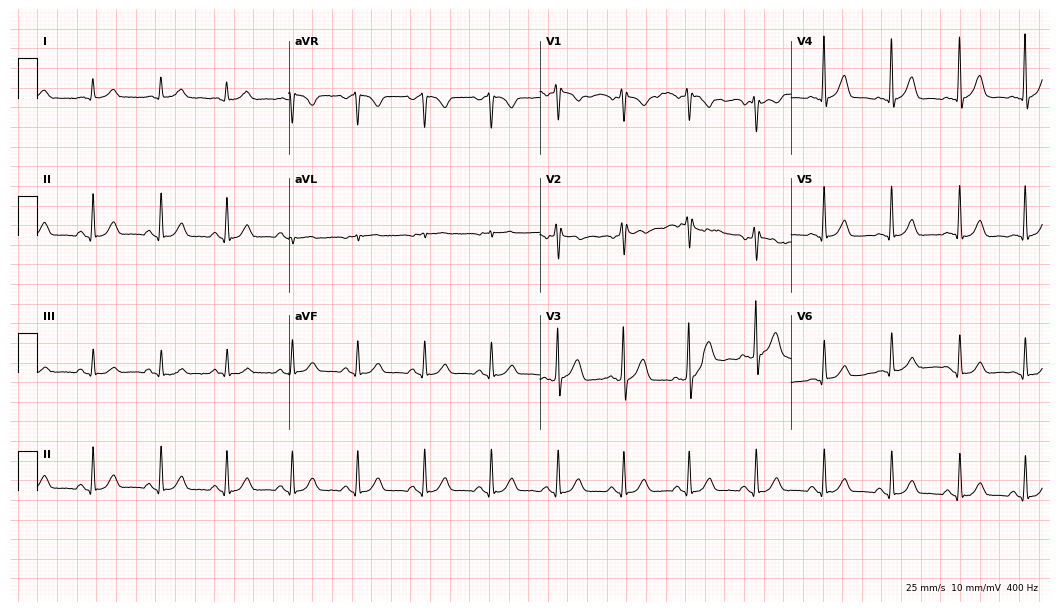
12-lead ECG (10.2-second recording at 400 Hz) from a 49-year-old male patient. Labelled as a normal ECG.